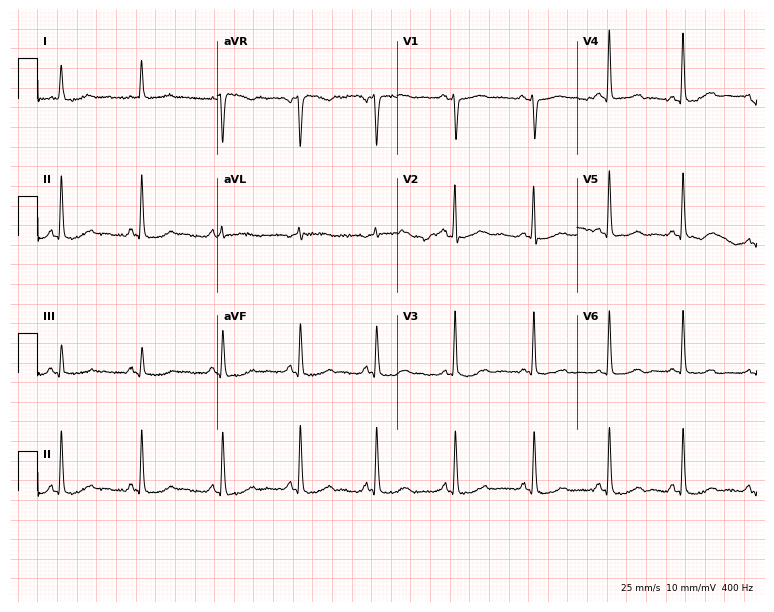
Electrocardiogram (7.3-second recording at 400 Hz), a female, 70 years old. Of the six screened findings (first-degree AV block, right bundle branch block, left bundle branch block, sinus bradycardia, atrial fibrillation, sinus tachycardia), none is recorded. Findings outside these six are not listed.